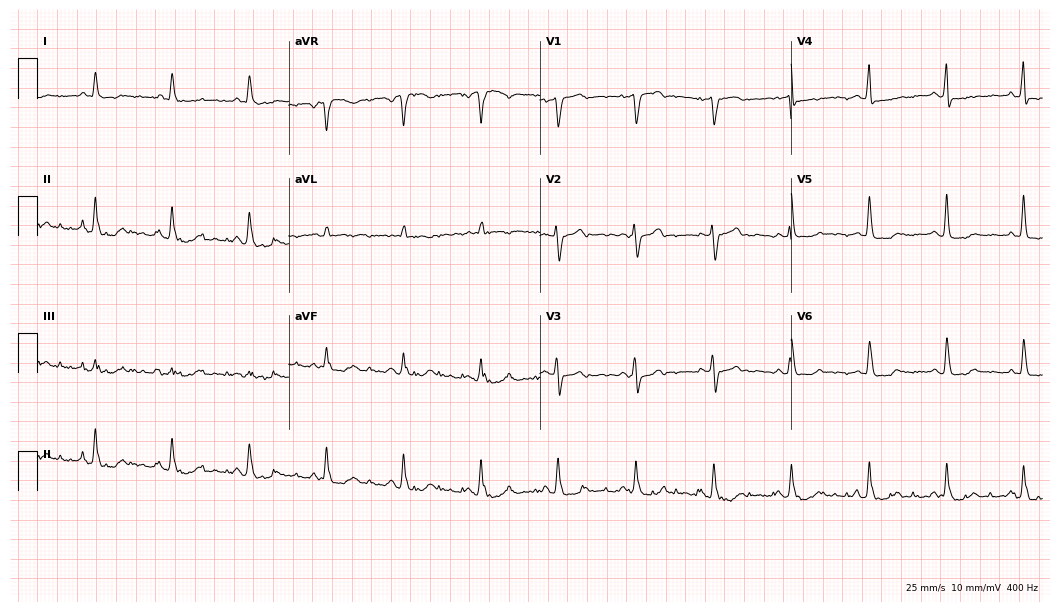
Resting 12-lead electrocardiogram. Patient: a 74-year-old female. None of these six findings is recorded: first-degree AV block, right bundle branch block, left bundle branch block, sinus bradycardia, atrial fibrillation, sinus tachycardia.